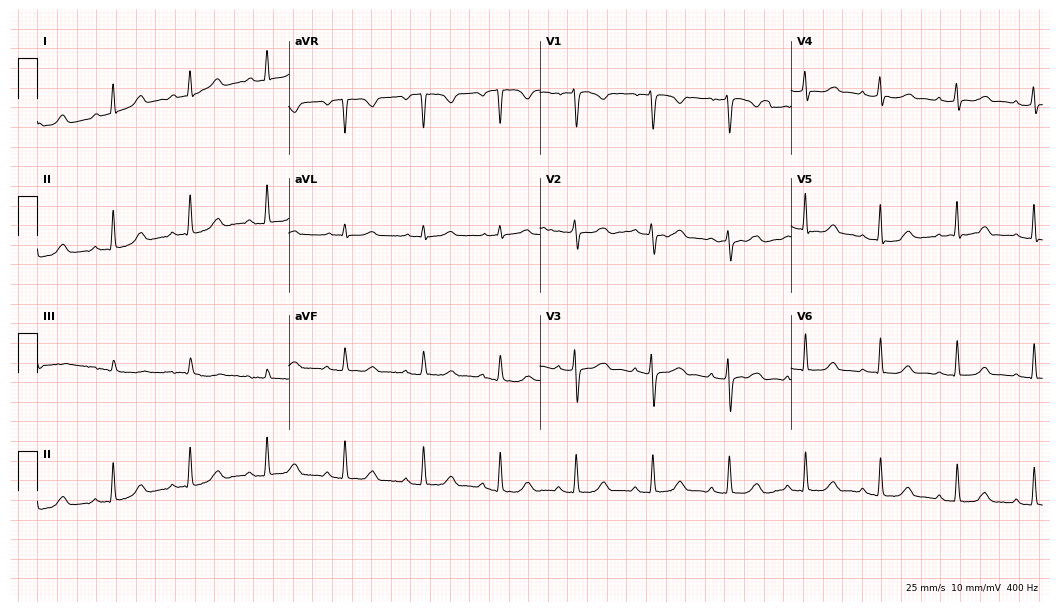
ECG — a 40-year-old female patient. Labelled as a normal ECG.